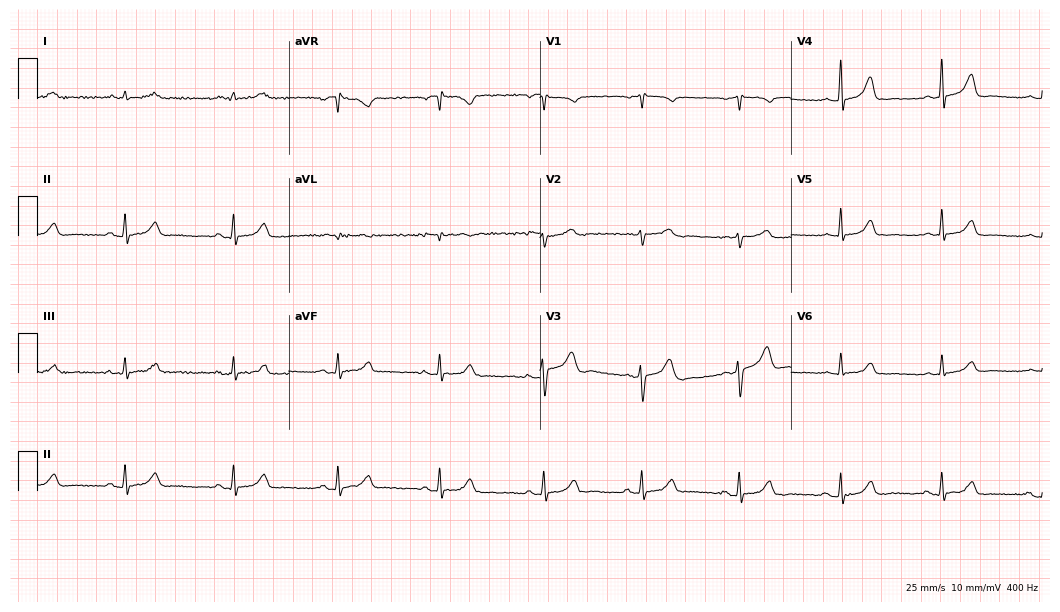
12-lead ECG from a female, 48 years old. Screened for six findings — first-degree AV block, right bundle branch block (RBBB), left bundle branch block (LBBB), sinus bradycardia, atrial fibrillation (AF), sinus tachycardia — none is recorded.